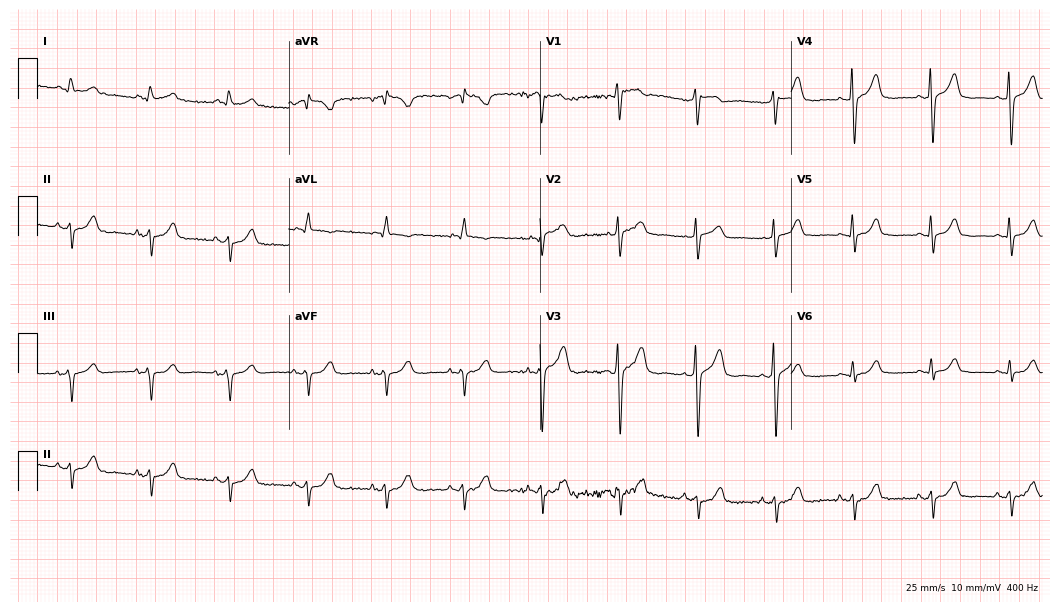
Electrocardiogram, a 75-year-old male patient. Of the six screened findings (first-degree AV block, right bundle branch block, left bundle branch block, sinus bradycardia, atrial fibrillation, sinus tachycardia), none is recorded.